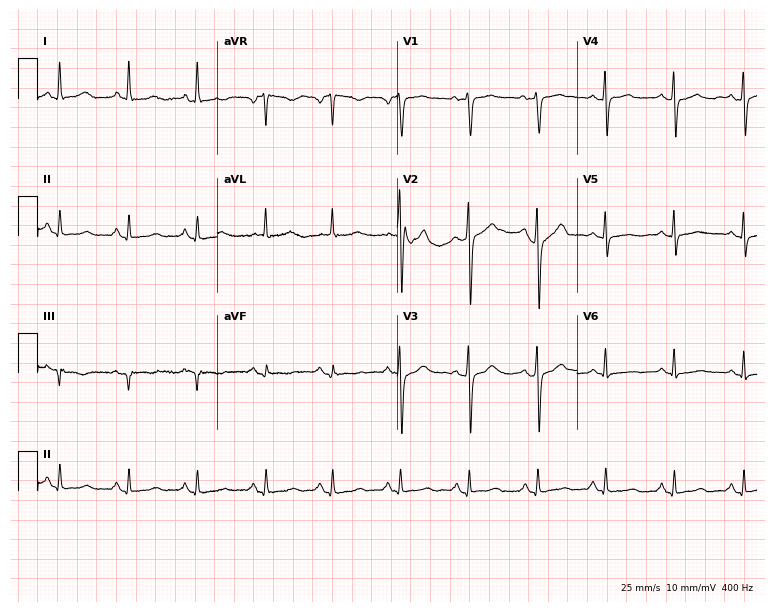
Standard 12-lead ECG recorded from a 61-year-old female patient (7.3-second recording at 400 Hz). None of these six findings is recorded: first-degree AV block, right bundle branch block, left bundle branch block, sinus bradycardia, atrial fibrillation, sinus tachycardia. Other findings, if any, are not listed.